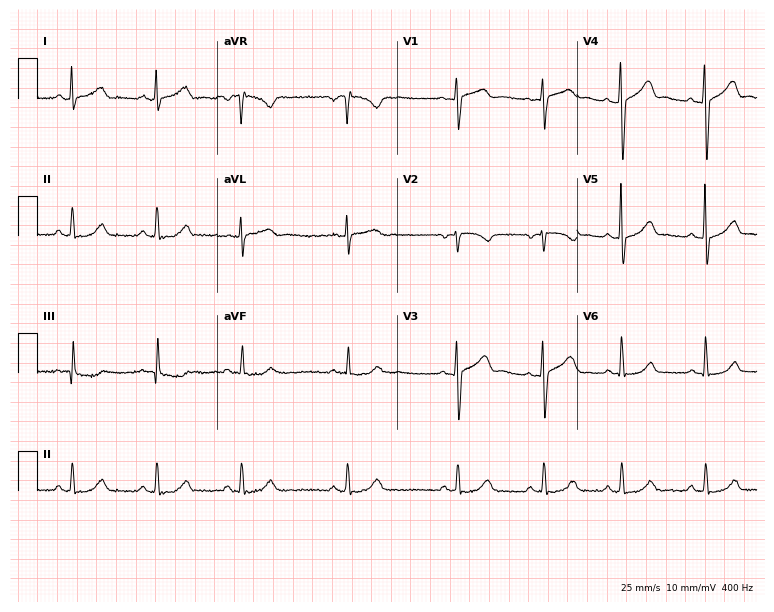
12-lead ECG from a female, 23 years old. Recorded interpretation: within normal limits.